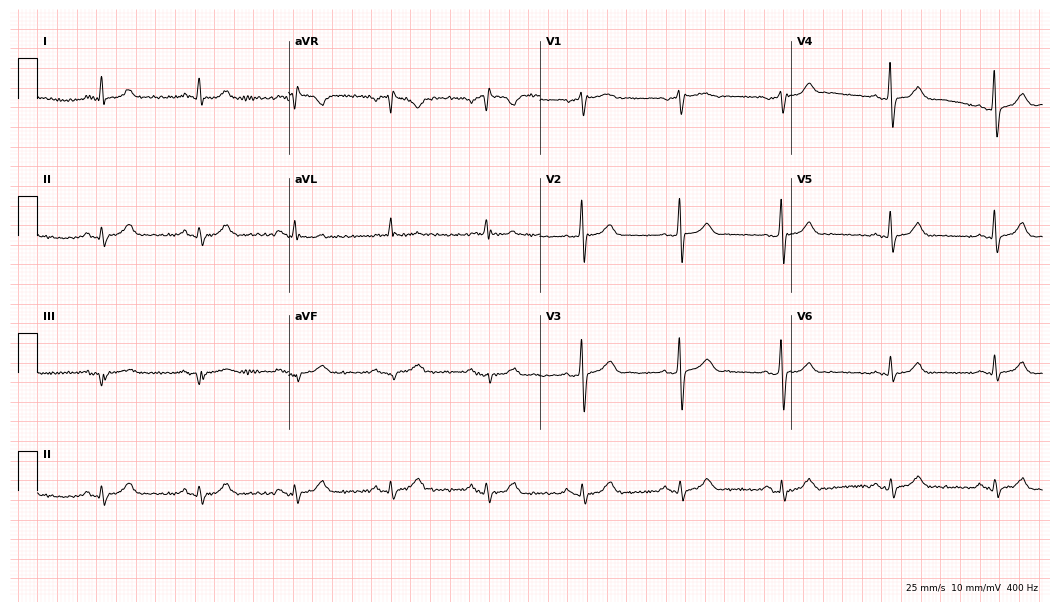
Standard 12-lead ECG recorded from a man, 64 years old (10.2-second recording at 400 Hz). Read as a normal ECG.